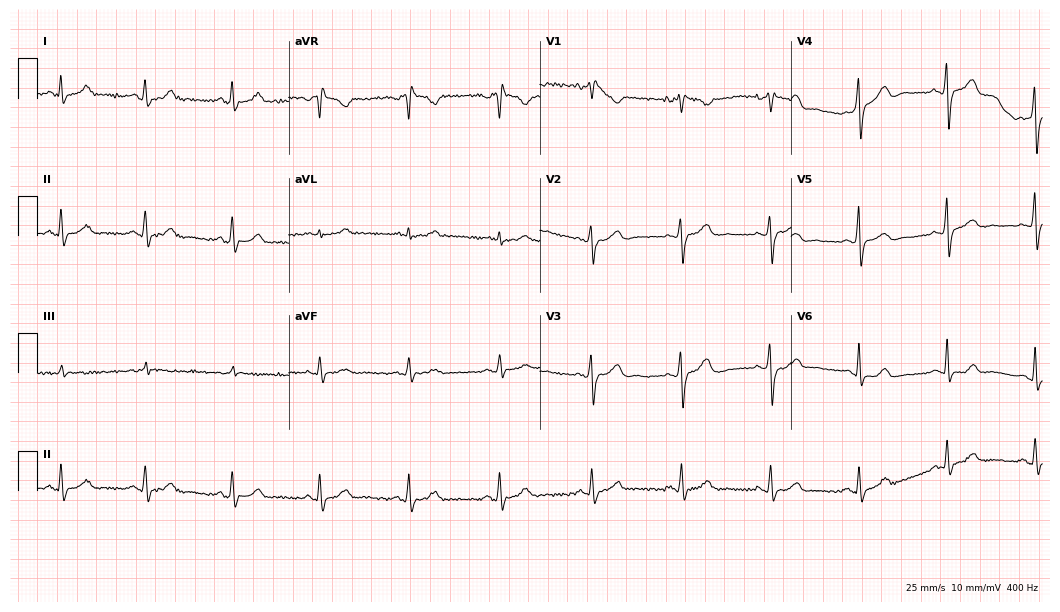
Electrocardiogram (10.2-second recording at 400 Hz), a female patient, 26 years old. Of the six screened findings (first-degree AV block, right bundle branch block, left bundle branch block, sinus bradycardia, atrial fibrillation, sinus tachycardia), none is recorded.